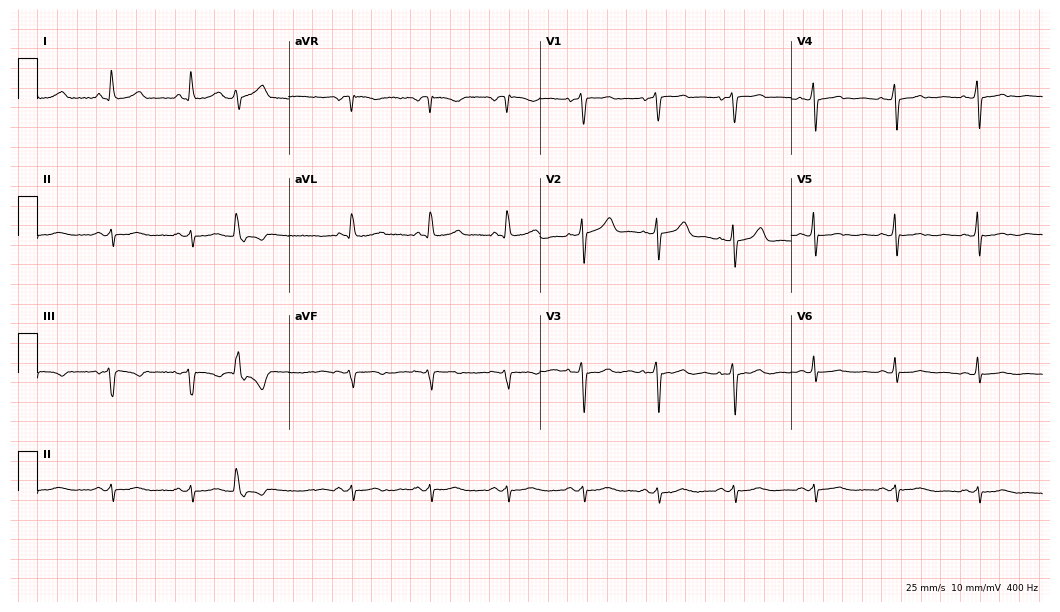
Resting 12-lead electrocardiogram. Patient: a woman, 62 years old. None of these six findings is recorded: first-degree AV block, right bundle branch block (RBBB), left bundle branch block (LBBB), sinus bradycardia, atrial fibrillation (AF), sinus tachycardia. Findings outside these six are not listed.